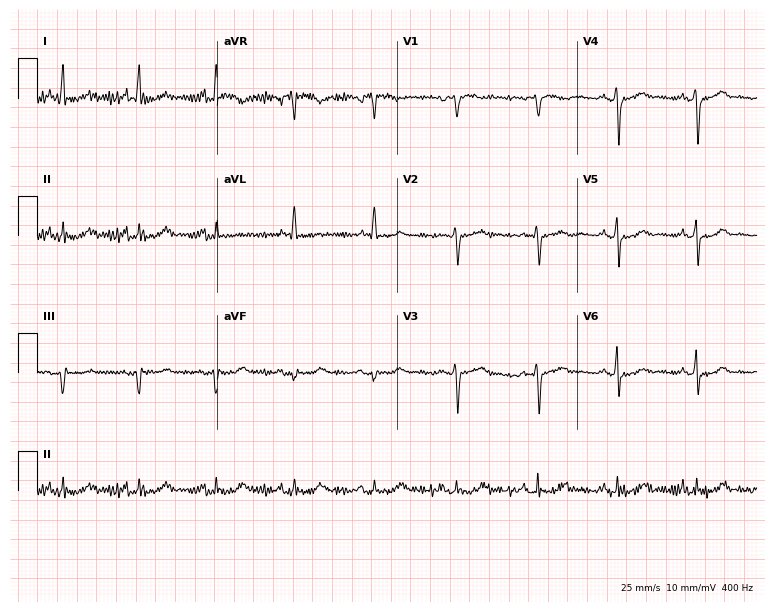
Electrocardiogram (7.3-second recording at 400 Hz), a 65-year-old woman. Of the six screened findings (first-degree AV block, right bundle branch block (RBBB), left bundle branch block (LBBB), sinus bradycardia, atrial fibrillation (AF), sinus tachycardia), none is recorded.